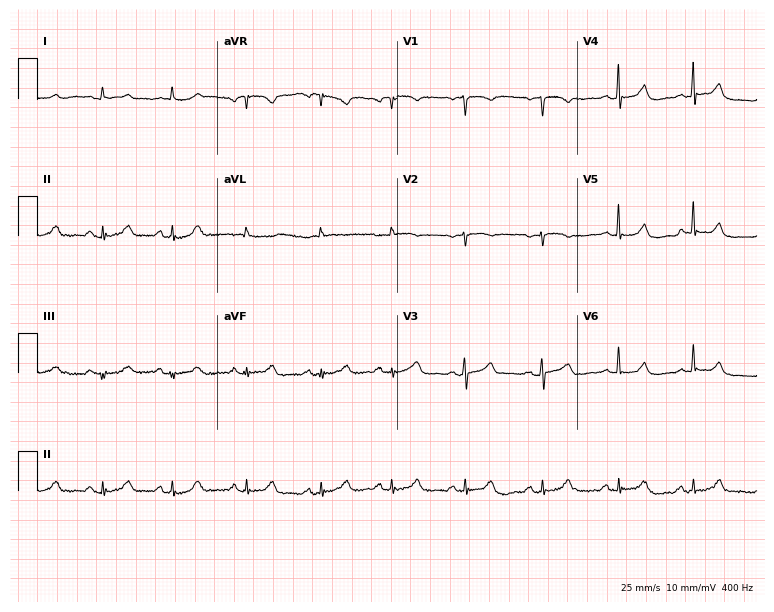
ECG (7.3-second recording at 400 Hz) — a 56-year-old female patient. Labelled as a normal ECG.